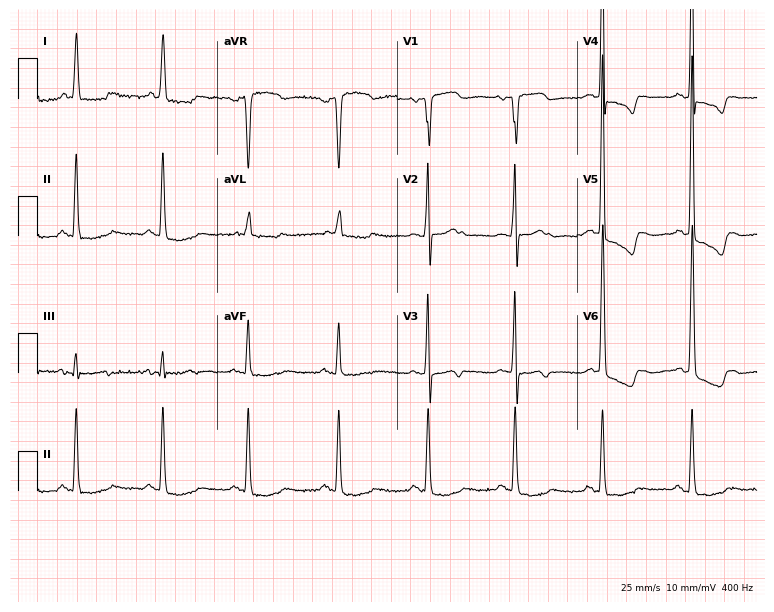
Resting 12-lead electrocardiogram. Patient: a woman, 80 years old. None of these six findings is recorded: first-degree AV block, right bundle branch block, left bundle branch block, sinus bradycardia, atrial fibrillation, sinus tachycardia. Only these six findings were labelled.